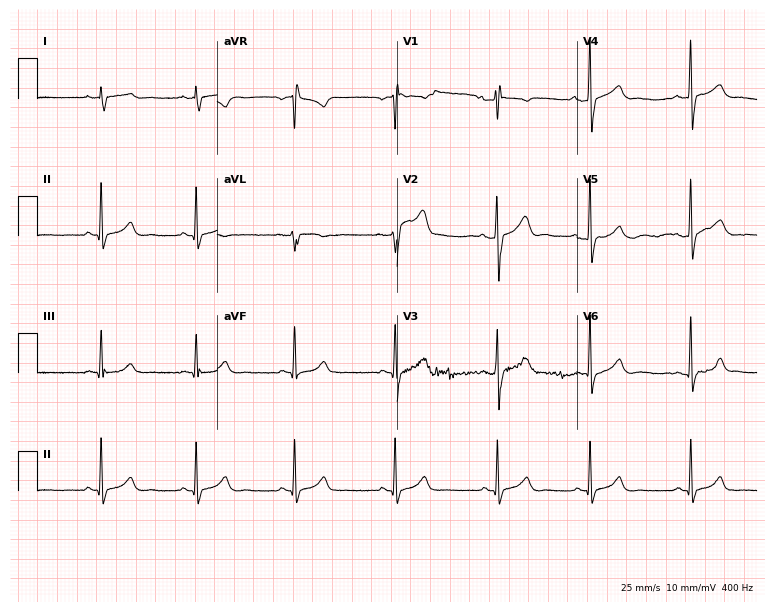
Standard 12-lead ECG recorded from a 22-year-old man. Read as a normal ECG.